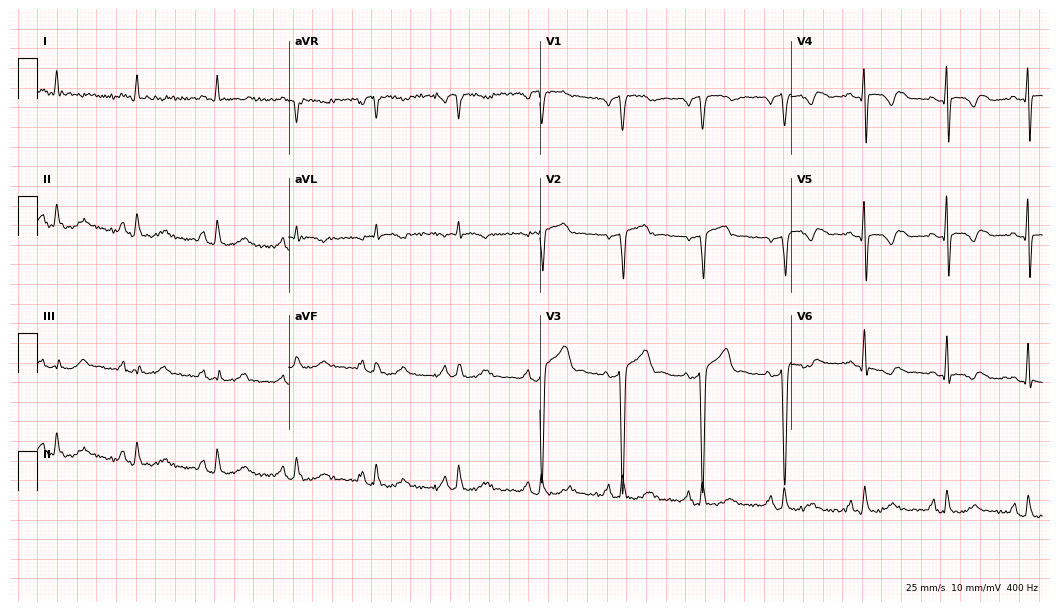
12-lead ECG (10.2-second recording at 400 Hz) from a 59-year-old man. Screened for six findings — first-degree AV block, right bundle branch block (RBBB), left bundle branch block (LBBB), sinus bradycardia, atrial fibrillation (AF), sinus tachycardia — none is recorded. Findings outside these six are not listed.